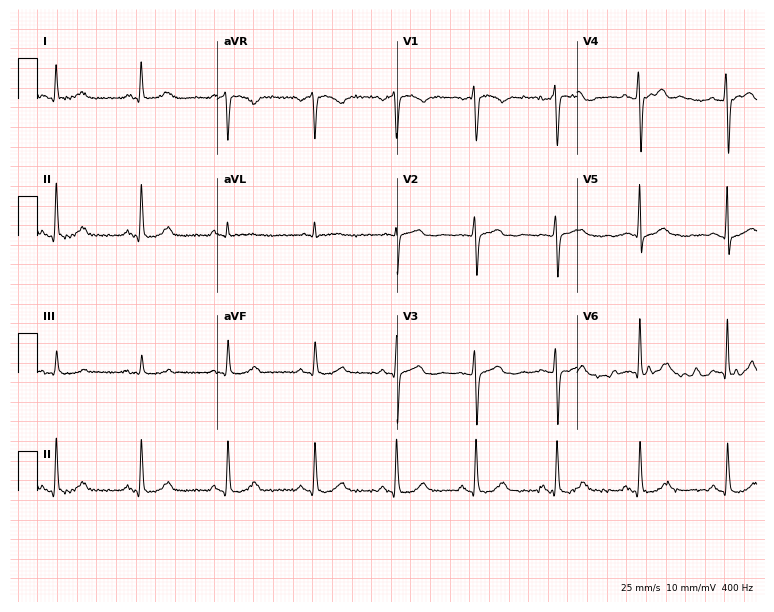
Resting 12-lead electrocardiogram. Patient: a female, 50 years old. None of these six findings is recorded: first-degree AV block, right bundle branch block, left bundle branch block, sinus bradycardia, atrial fibrillation, sinus tachycardia. Findings outside these six are not listed.